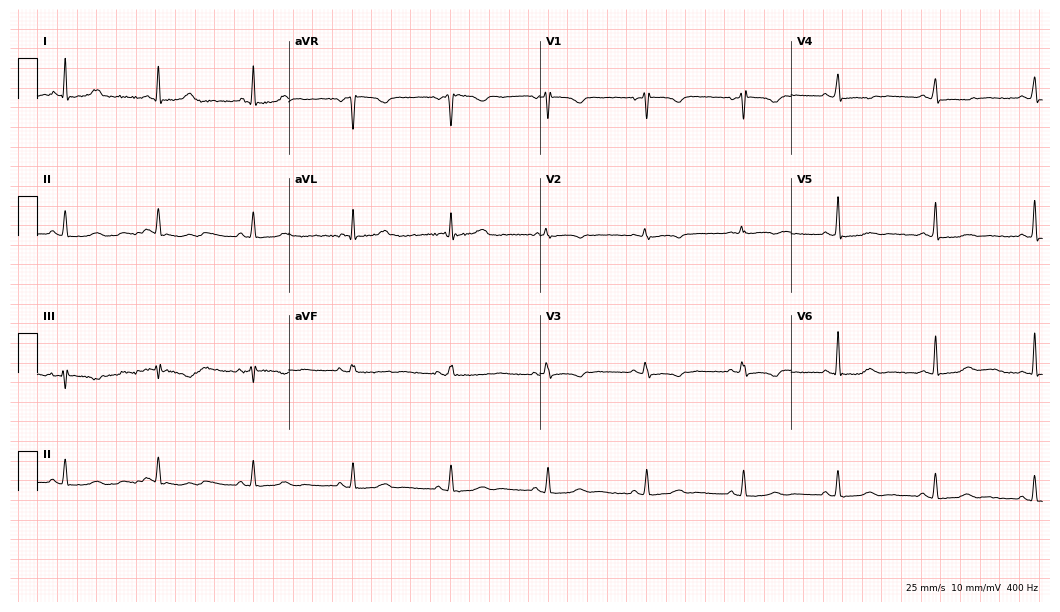
Resting 12-lead electrocardiogram (10.2-second recording at 400 Hz). Patient: a female, 49 years old. None of these six findings is recorded: first-degree AV block, right bundle branch block, left bundle branch block, sinus bradycardia, atrial fibrillation, sinus tachycardia. Other findings, if any, are not listed.